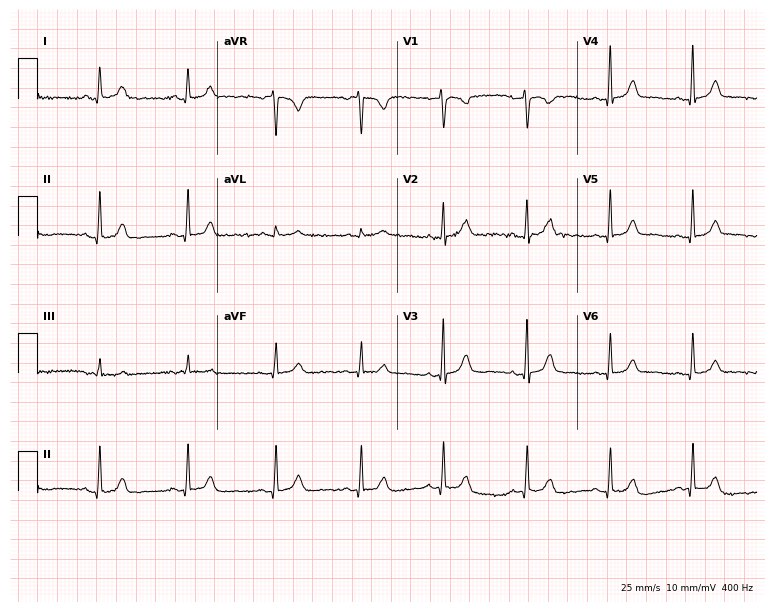
Resting 12-lead electrocardiogram. Patient: a female, 41 years old. Read as a normal ECG.